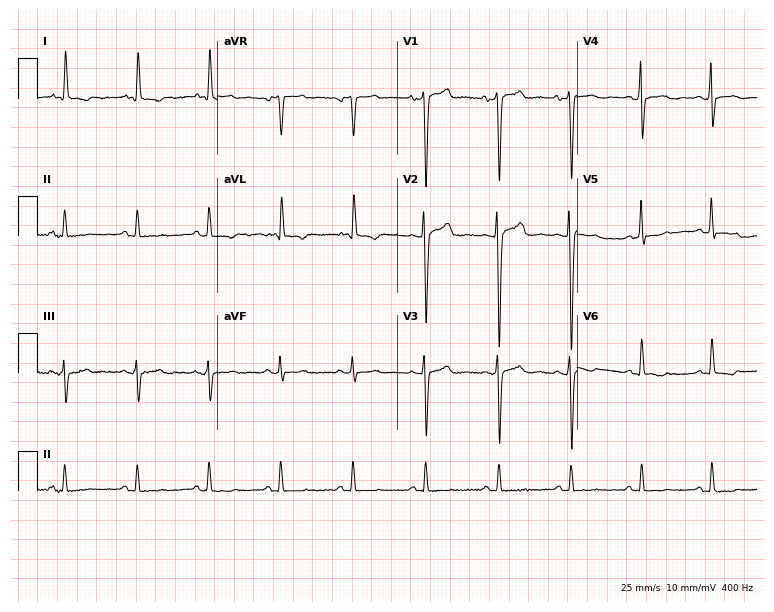
Standard 12-lead ECG recorded from a male patient, 76 years old. None of these six findings is recorded: first-degree AV block, right bundle branch block (RBBB), left bundle branch block (LBBB), sinus bradycardia, atrial fibrillation (AF), sinus tachycardia. Other findings, if any, are not listed.